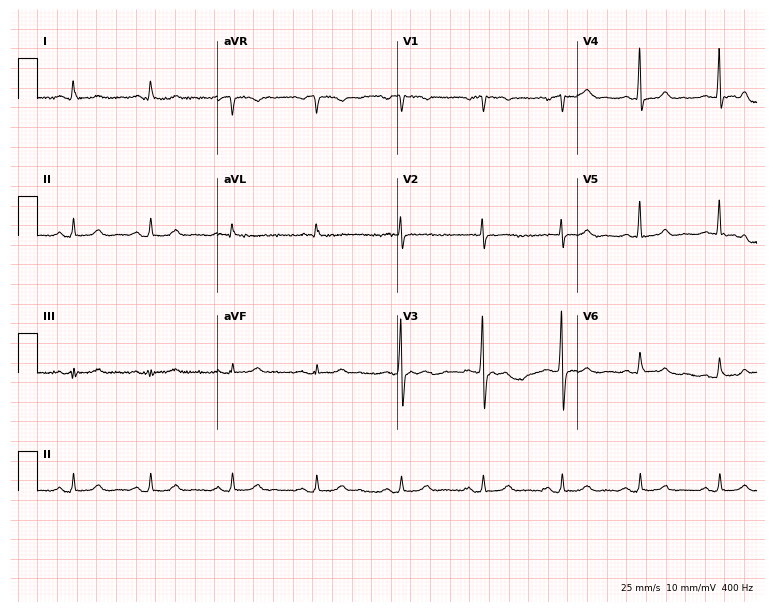
12-lead ECG from a 58-year-old male patient (7.3-second recording at 400 Hz). No first-degree AV block, right bundle branch block, left bundle branch block, sinus bradycardia, atrial fibrillation or sinus tachycardia recorded for this tracing.